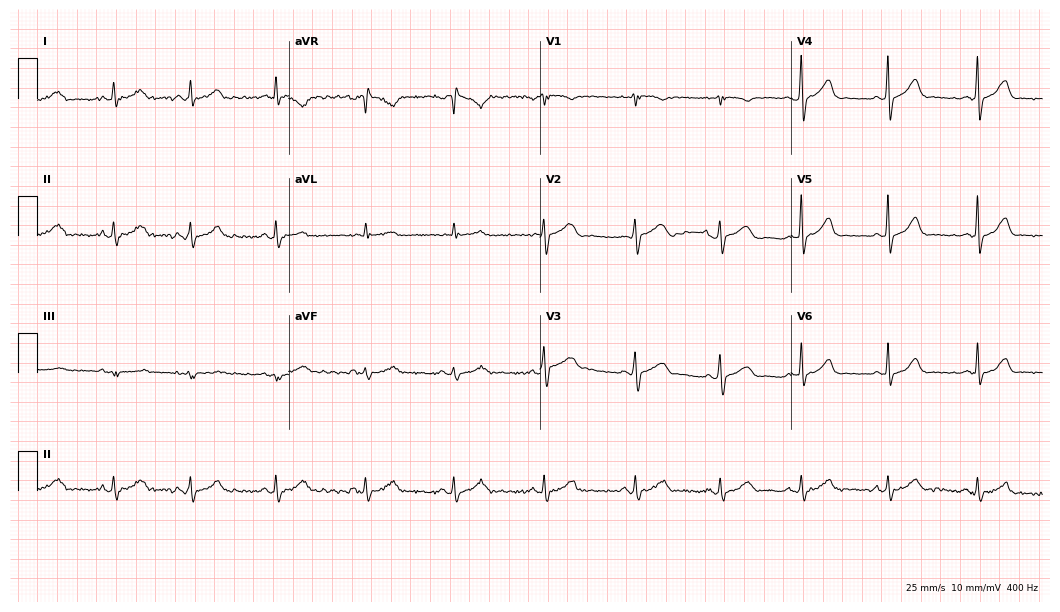
ECG — a female patient, 23 years old. Labelled as a normal ECG.